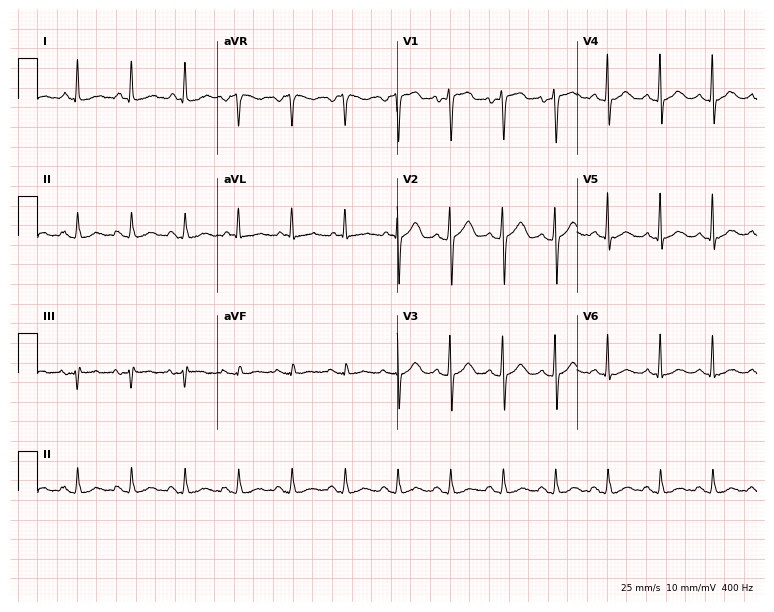
Standard 12-lead ECG recorded from a 61-year-old man (7.3-second recording at 400 Hz). None of these six findings is recorded: first-degree AV block, right bundle branch block (RBBB), left bundle branch block (LBBB), sinus bradycardia, atrial fibrillation (AF), sinus tachycardia. Only these six findings were labelled.